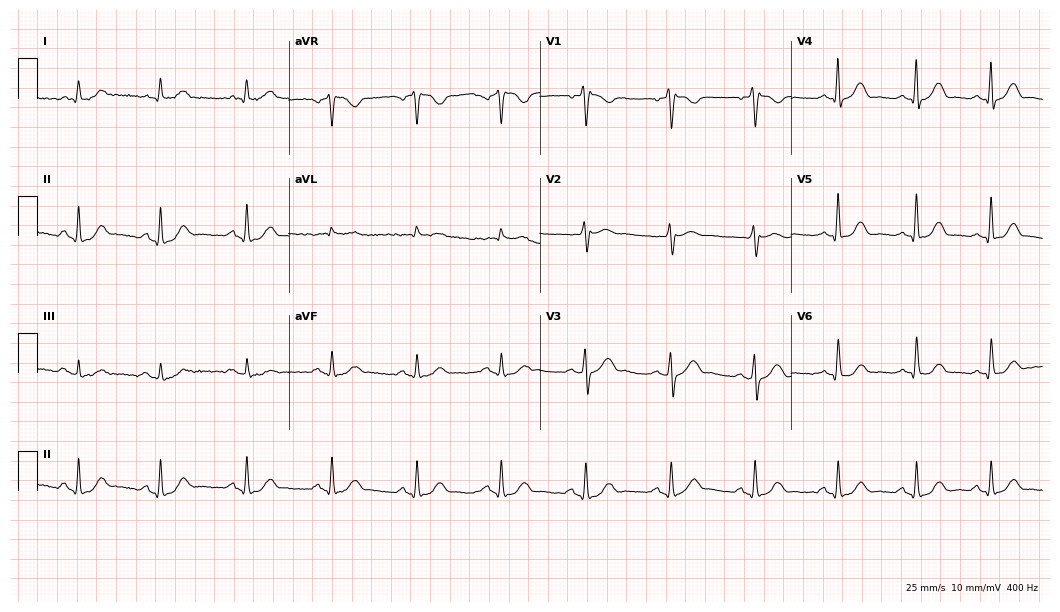
Electrocardiogram (10.2-second recording at 400 Hz), a man, 69 years old. Of the six screened findings (first-degree AV block, right bundle branch block, left bundle branch block, sinus bradycardia, atrial fibrillation, sinus tachycardia), none is recorded. Other findings, if any, are not listed.